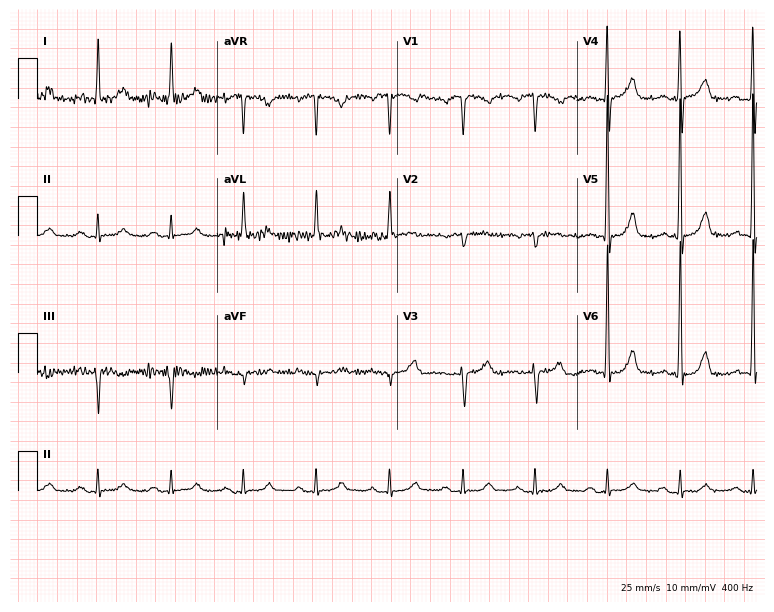
Resting 12-lead electrocardiogram (7.3-second recording at 400 Hz). Patient: a man, 82 years old. Read as a normal ECG.